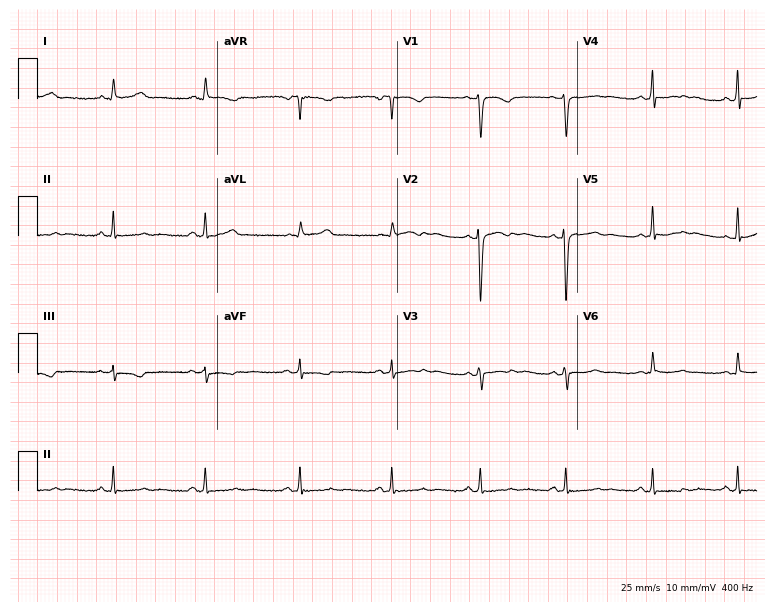
ECG (7.3-second recording at 400 Hz) — a woman, 42 years old. Screened for six findings — first-degree AV block, right bundle branch block (RBBB), left bundle branch block (LBBB), sinus bradycardia, atrial fibrillation (AF), sinus tachycardia — none is recorded. Findings outside these six are not listed.